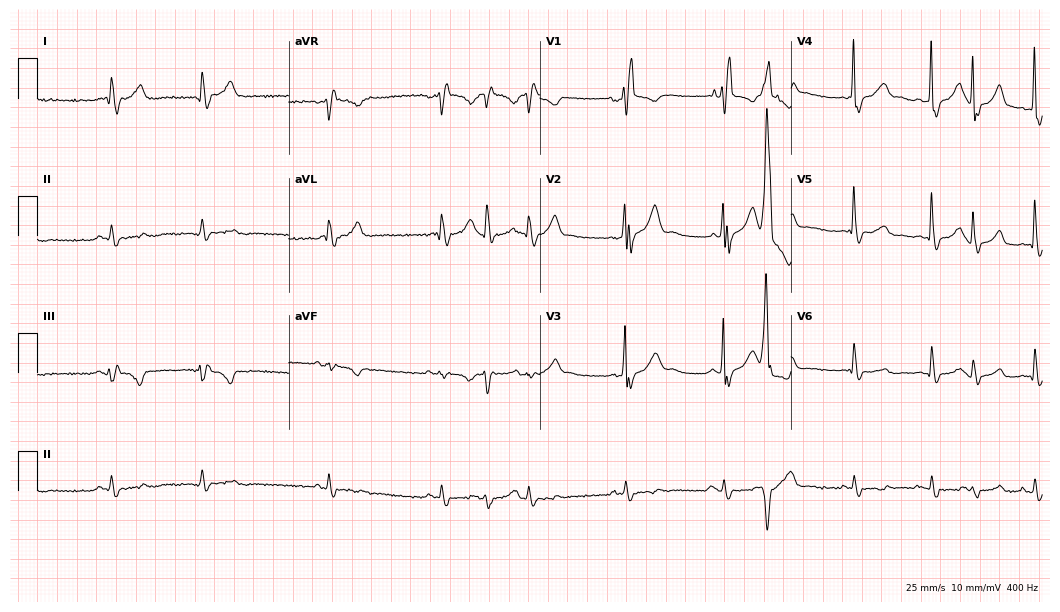
Resting 12-lead electrocardiogram (10.2-second recording at 400 Hz). Patient: an 80-year-old male. The tracing shows right bundle branch block (RBBB).